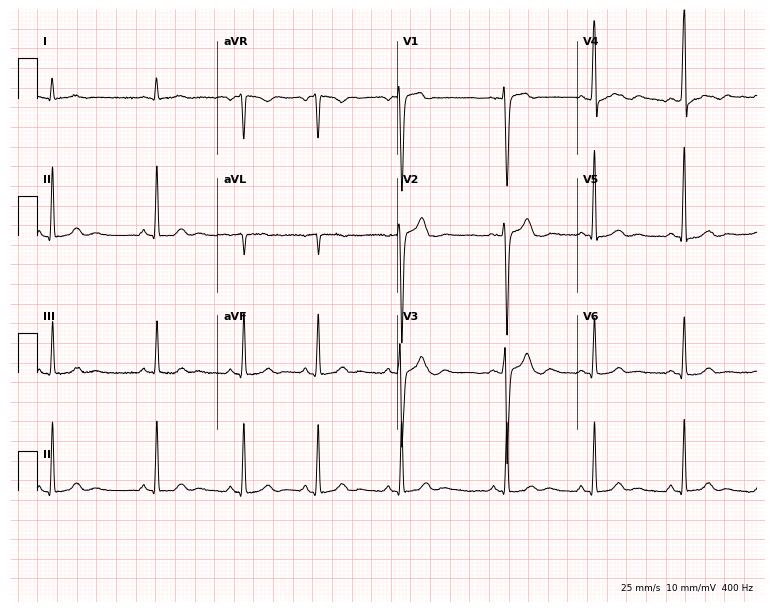
Resting 12-lead electrocardiogram (7.3-second recording at 400 Hz). Patient: a 30-year-old man. Read as a normal ECG.